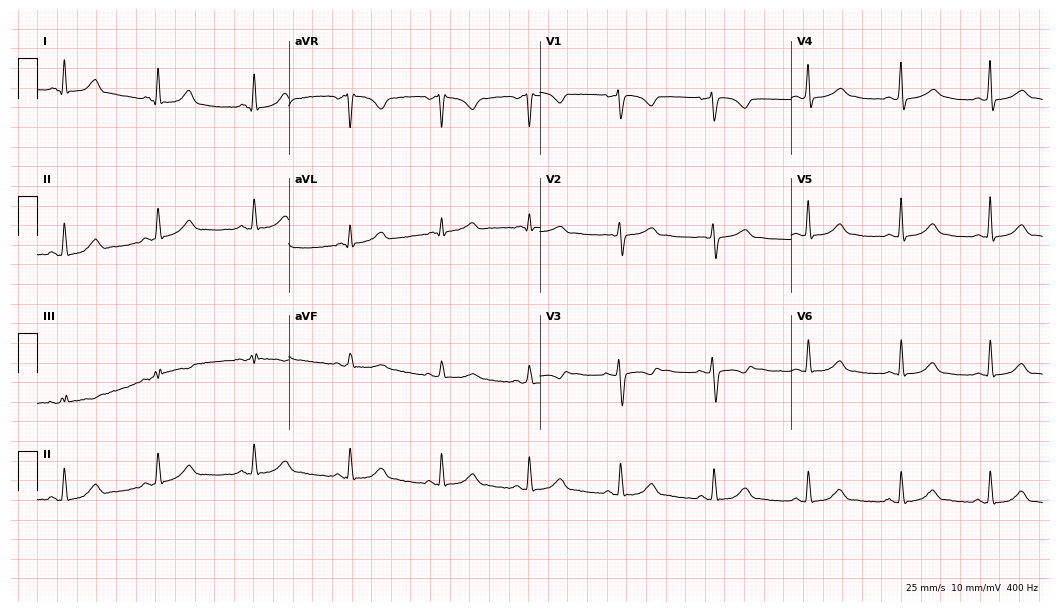
Resting 12-lead electrocardiogram. Patient: a 35-year-old female. Read as a normal ECG.